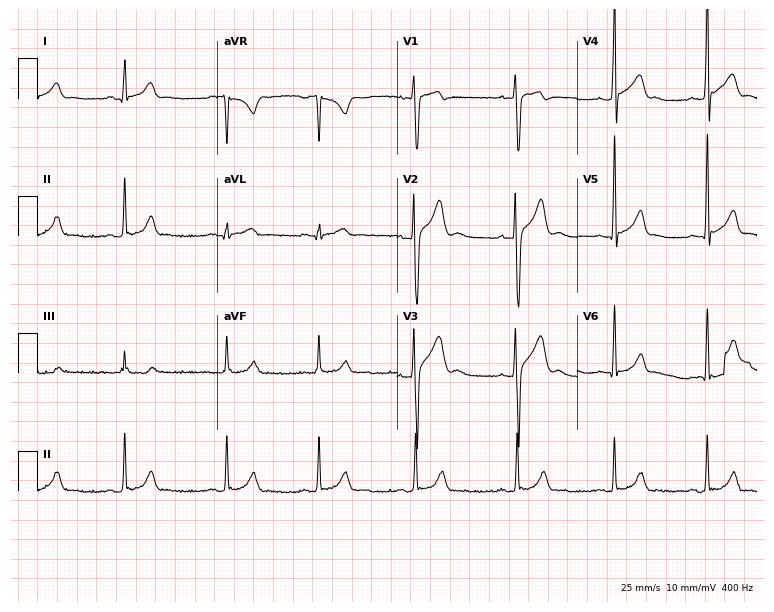
ECG — a male patient, 20 years old. Labelled as a normal ECG.